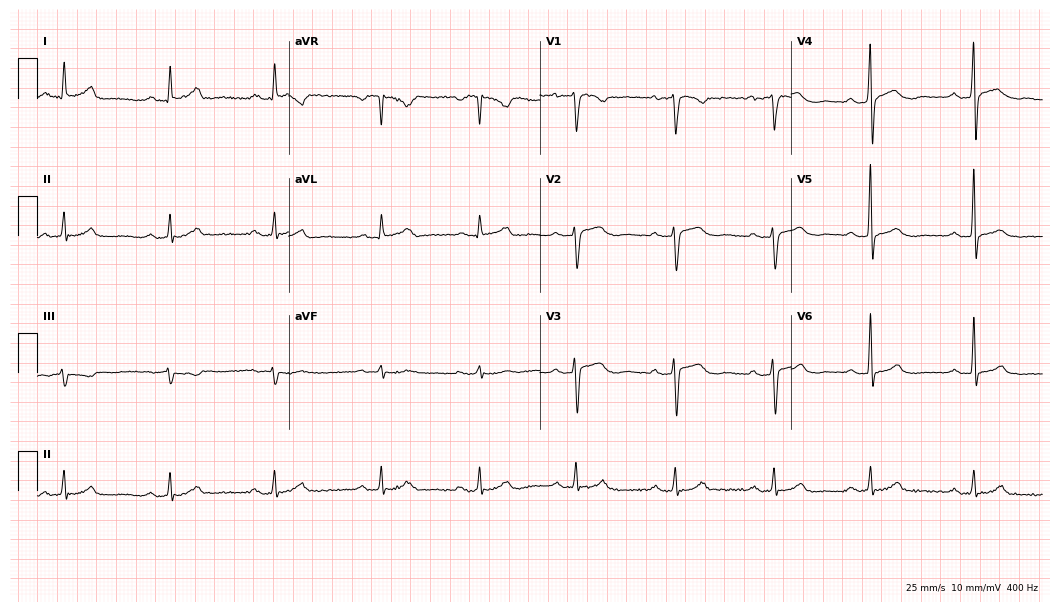
Electrocardiogram (10.2-second recording at 400 Hz), a 49-year-old female patient. Overall reading on record: normal ECG.